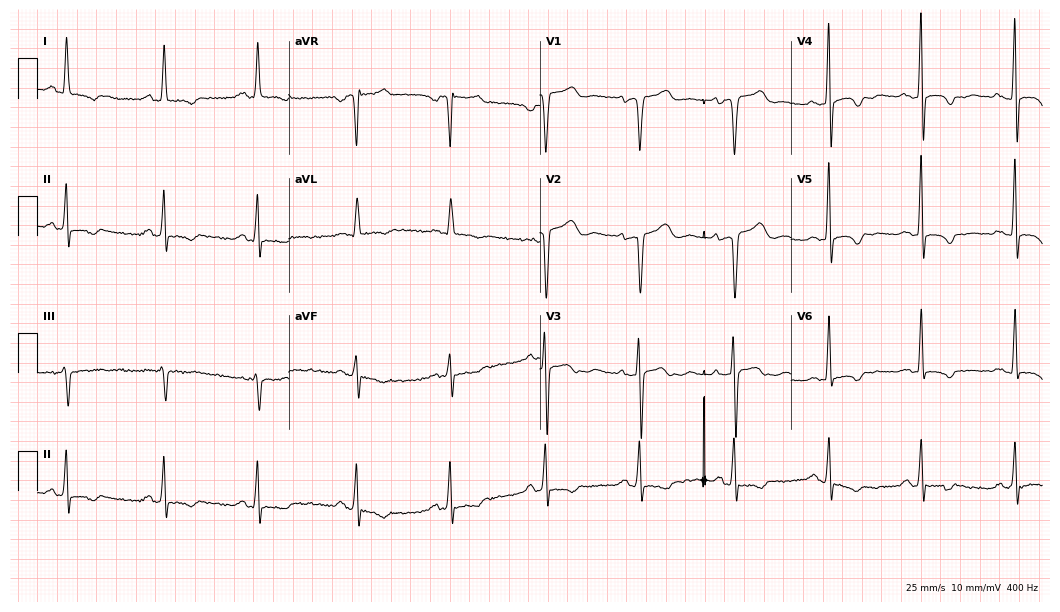
Standard 12-lead ECG recorded from a female, 55 years old. None of these six findings is recorded: first-degree AV block, right bundle branch block, left bundle branch block, sinus bradycardia, atrial fibrillation, sinus tachycardia. Other findings, if any, are not listed.